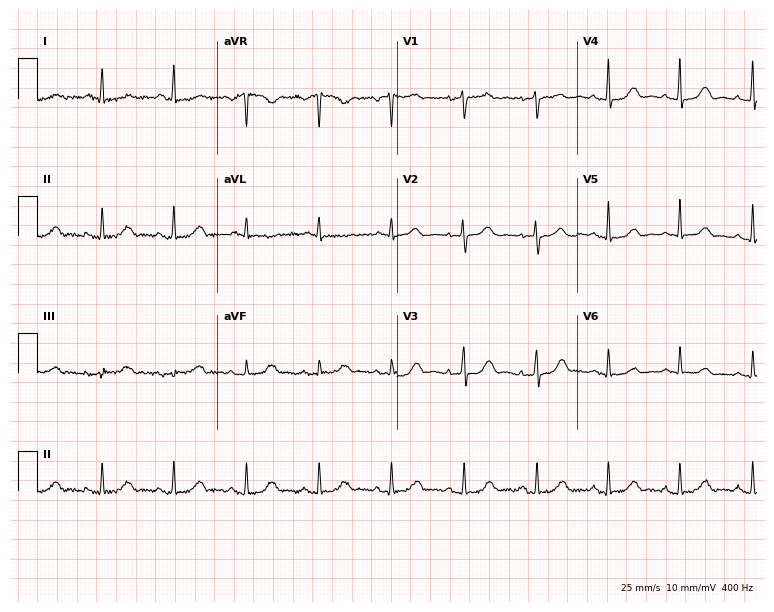
12-lead ECG from a female, 56 years old (7.3-second recording at 400 Hz). No first-degree AV block, right bundle branch block (RBBB), left bundle branch block (LBBB), sinus bradycardia, atrial fibrillation (AF) or sinus tachycardia recorded for this tracing. Other findings, if any, are not listed.